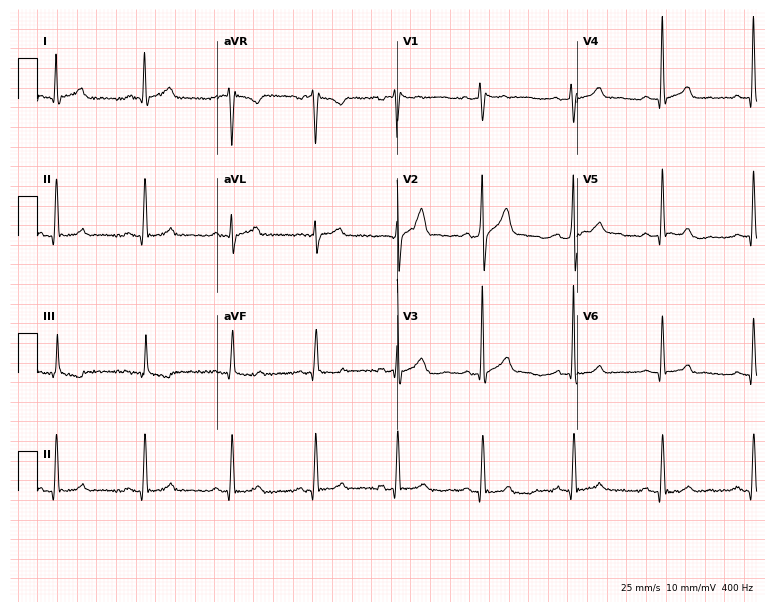
Resting 12-lead electrocardiogram (7.3-second recording at 400 Hz). Patient: a man, 38 years old. Read as a normal ECG.